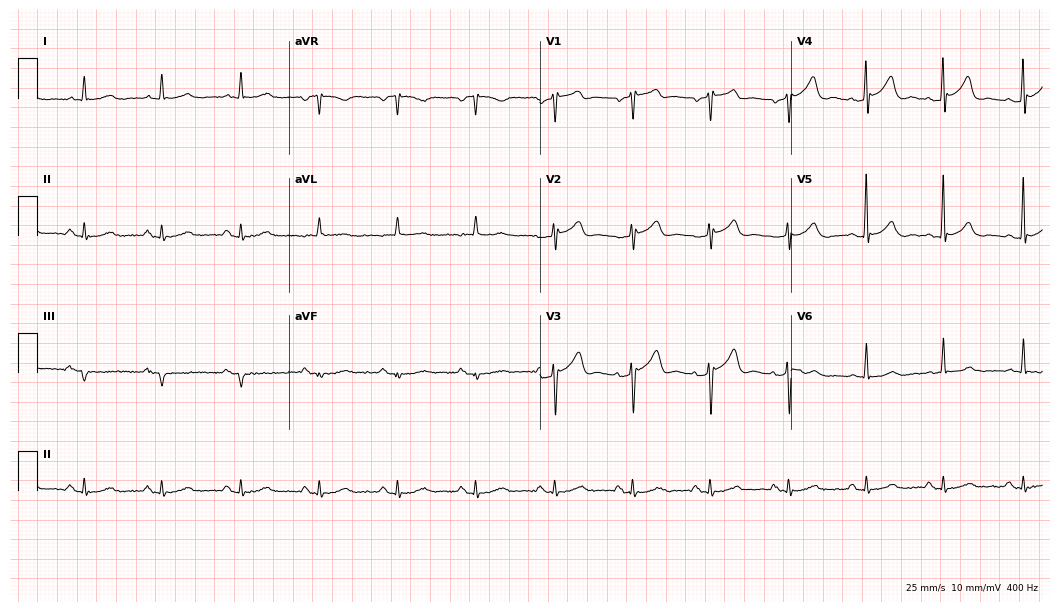
Standard 12-lead ECG recorded from a 75-year-old male patient. Read as a normal ECG.